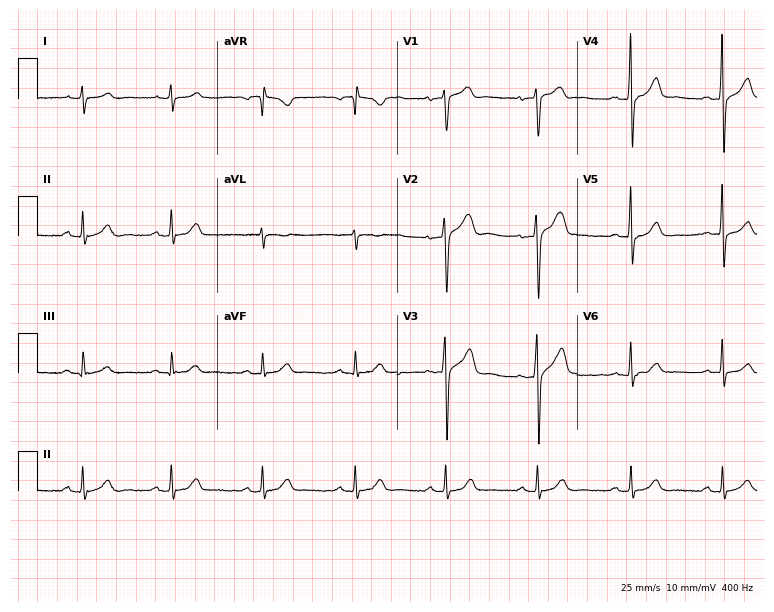
Standard 12-lead ECG recorded from a male, 48 years old. None of these six findings is recorded: first-degree AV block, right bundle branch block, left bundle branch block, sinus bradycardia, atrial fibrillation, sinus tachycardia.